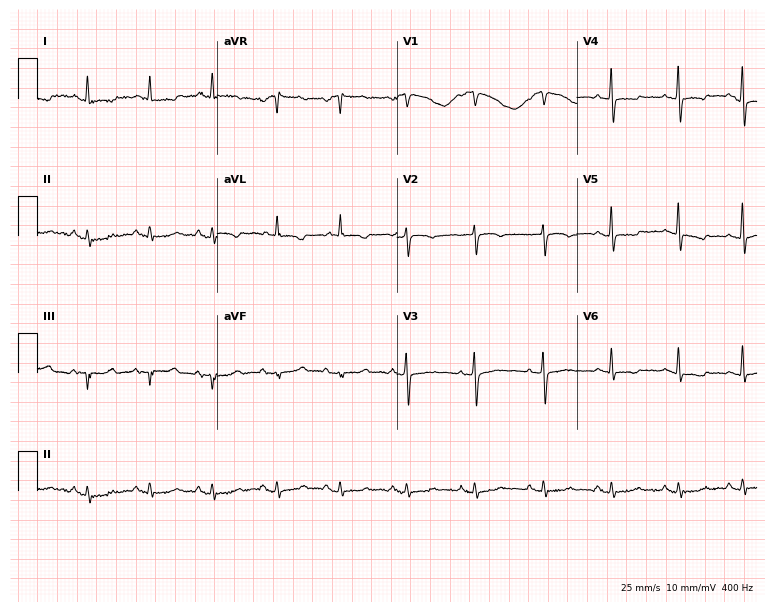
Electrocardiogram, a man, 82 years old. Of the six screened findings (first-degree AV block, right bundle branch block, left bundle branch block, sinus bradycardia, atrial fibrillation, sinus tachycardia), none is recorded. Only these six findings were labelled.